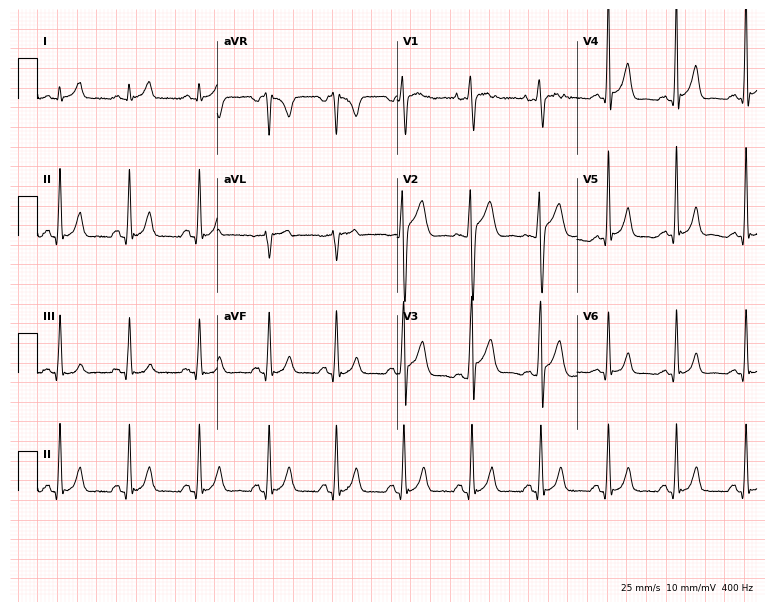
ECG (7.3-second recording at 400 Hz) — a male patient, 17 years old. Screened for six findings — first-degree AV block, right bundle branch block (RBBB), left bundle branch block (LBBB), sinus bradycardia, atrial fibrillation (AF), sinus tachycardia — none is recorded. Other findings, if any, are not listed.